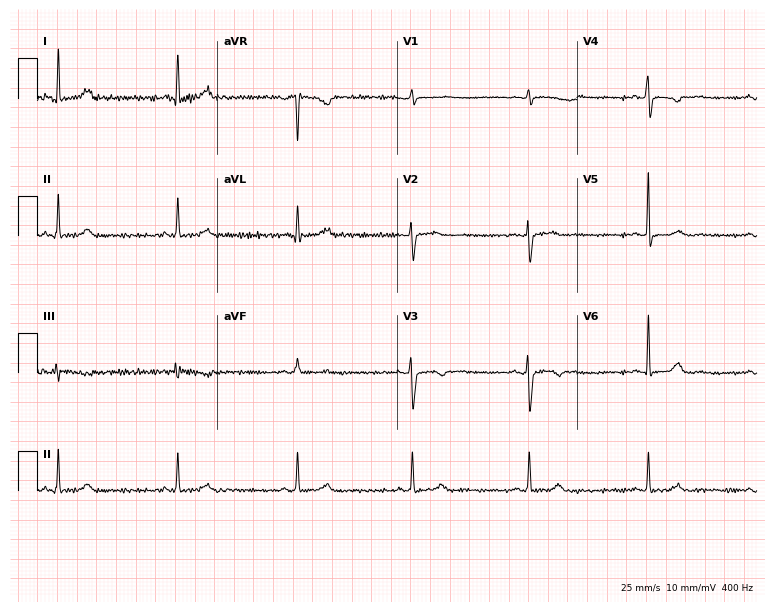
Resting 12-lead electrocardiogram. Patient: a 27-year-old woman. Read as a normal ECG.